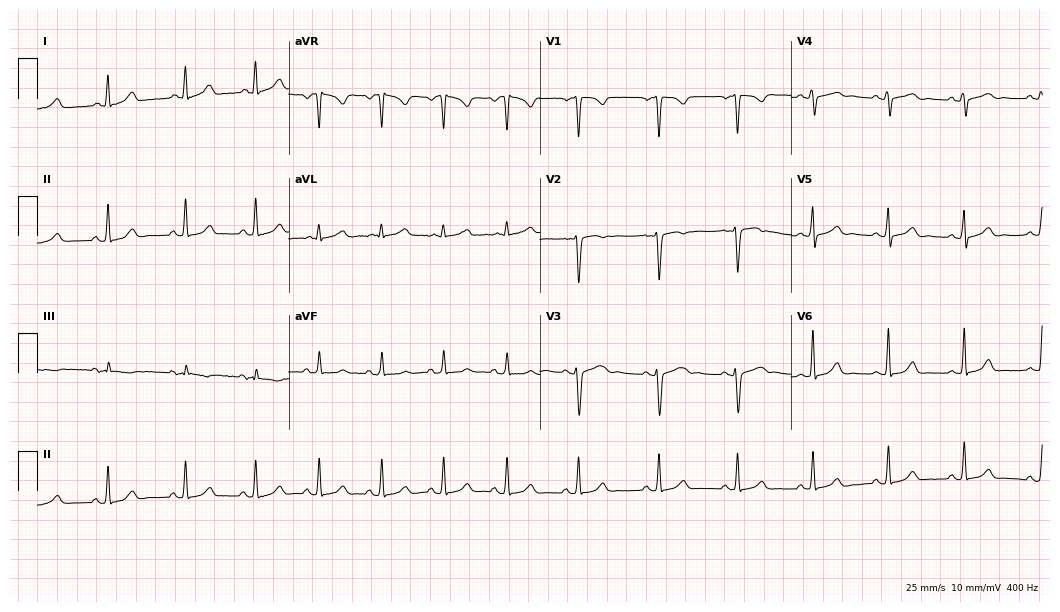
Electrocardiogram (10.2-second recording at 400 Hz), a 29-year-old female. Overall reading on record: normal ECG.